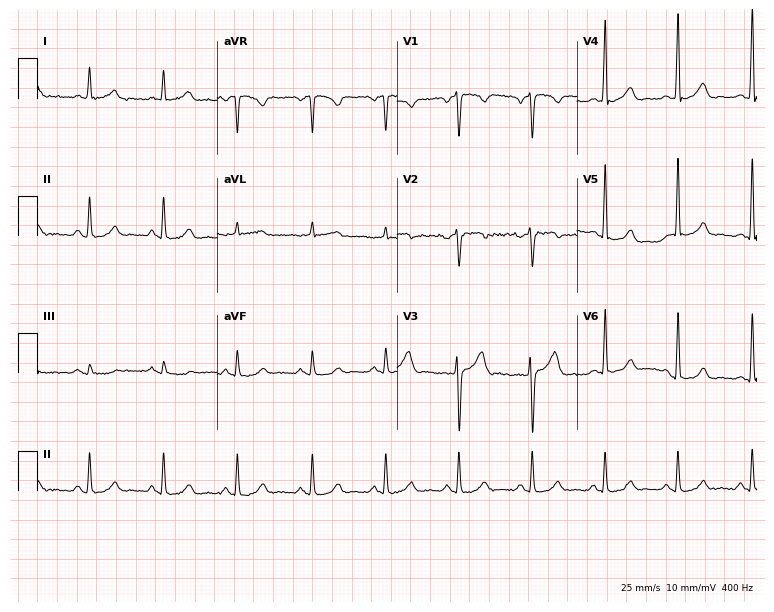
12-lead ECG (7.3-second recording at 400 Hz) from a 47-year-old man. Screened for six findings — first-degree AV block, right bundle branch block (RBBB), left bundle branch block (LBBB), sinus bradycardia, atrial fibrillation (AF), sinus tachycardia — none is recorded.